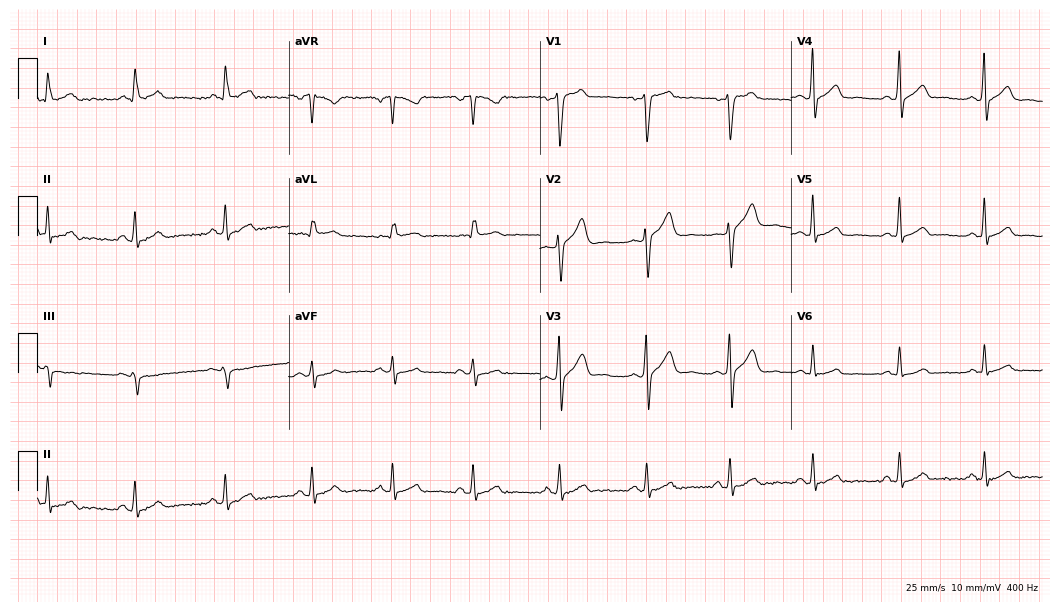
Standard 12-lead ECG recorded from a male patient, 44 years old. Read as a normal ECG.